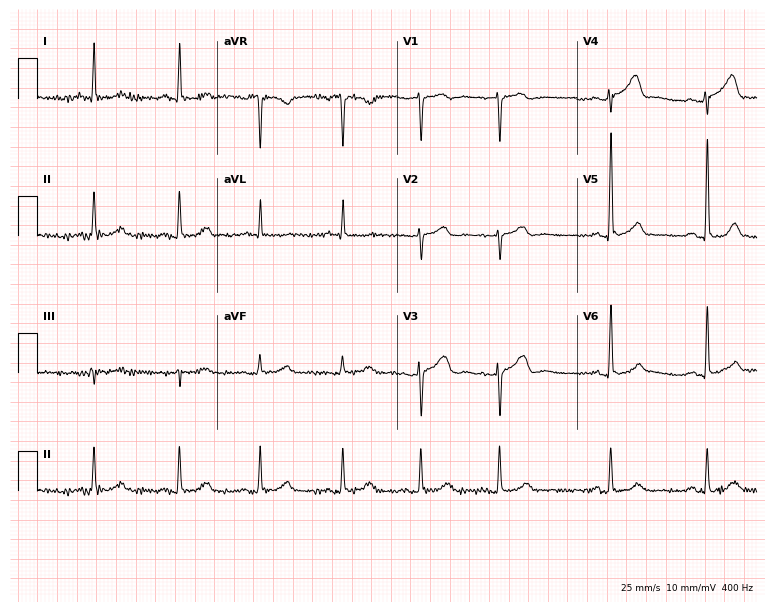
Standard 12-lead ECG recorded from a 61-year-old woman. None of these six findings is recorded: first-degree AV block, right bundle branch block, left bundle branch block, sinus bradycardia, atrial fibrillation, sinus tachycardia.